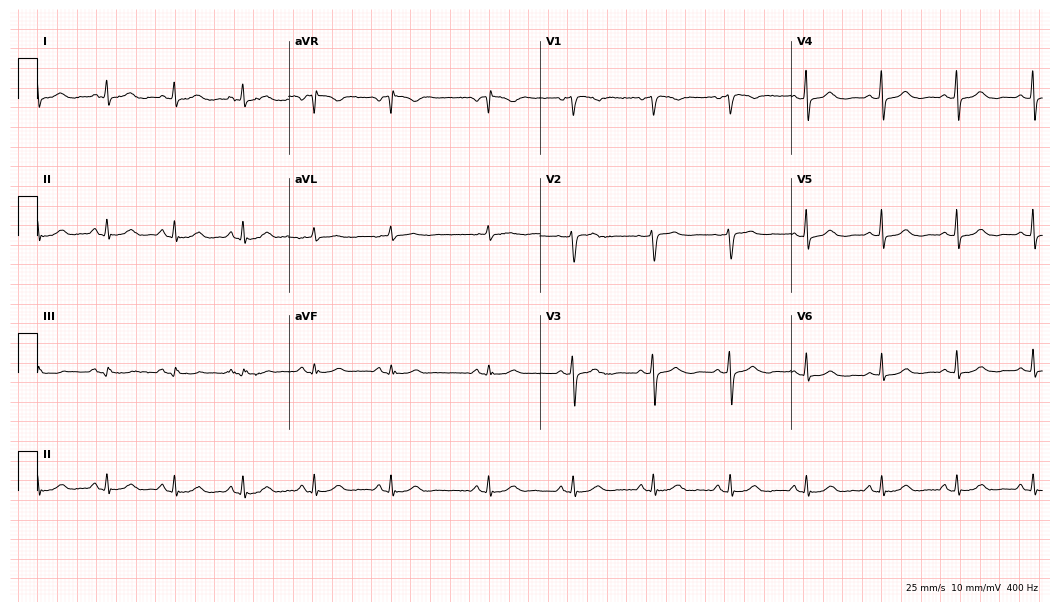
12-lead ECG (10.2-second recording at 400 Hz) from a woman, 68 years old. Labelled as a normal ECG.